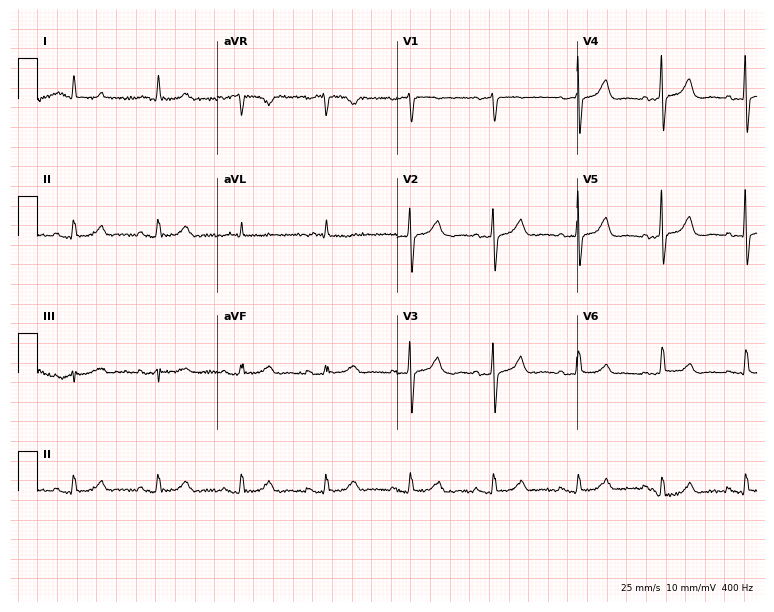
ECG — an 81-year-old female. Screened for six findings — first-degree AV block, right bundle branch block, left bundle branch block, sinus bradycardia, atrial fibrillation, sinus tachycardia — none is recorded. Other findings, if any, are not listed.